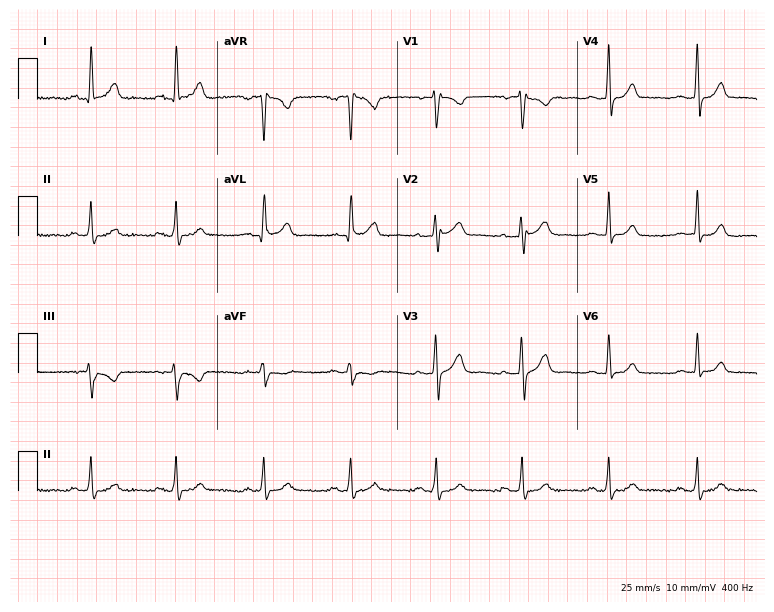
12-lead ECG from a female, 55 years old (7.3-second recording at 400 Hz). Recorded interpretation: within normal limits.